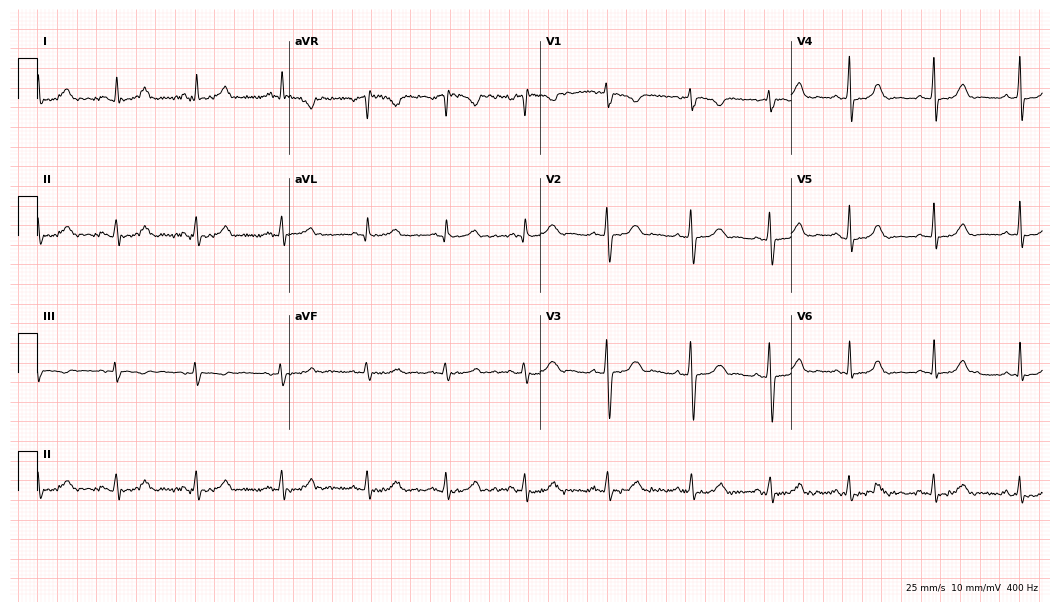
Resting 12-lead electrocardiogram. Patient: a 36-year-old woman. None of these six findings is recorded: first-degree AV block, right bundle branch block, left bundle branch block, sinus bradycardia, atrial fibrillation, sinus tachycardia. Findings outside these six are not listed.